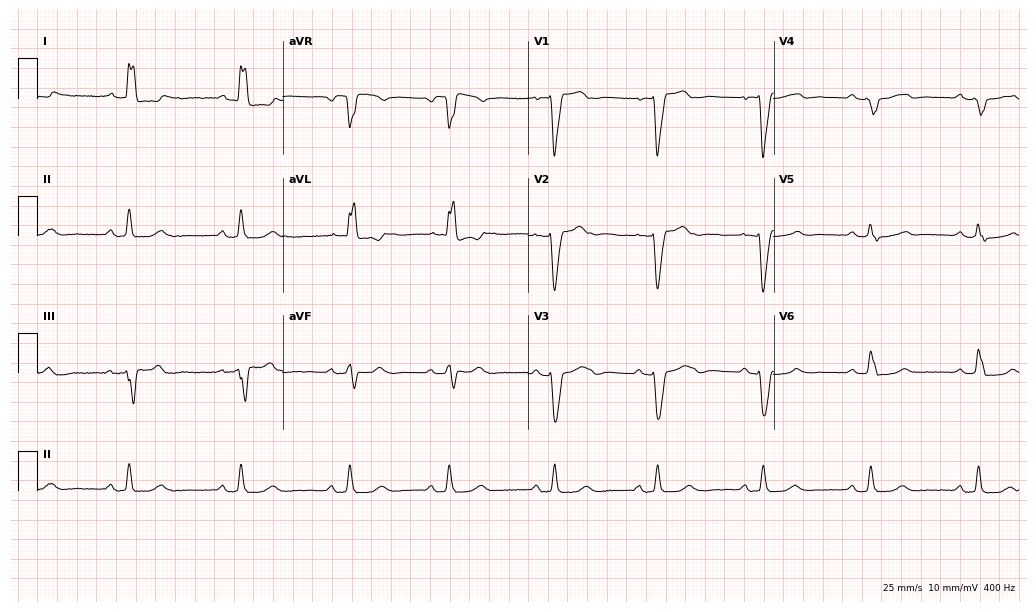
12-lead ECG (10-second recording at 400 Hz) from a female, 68 years old. Findings include left bundle branch block.